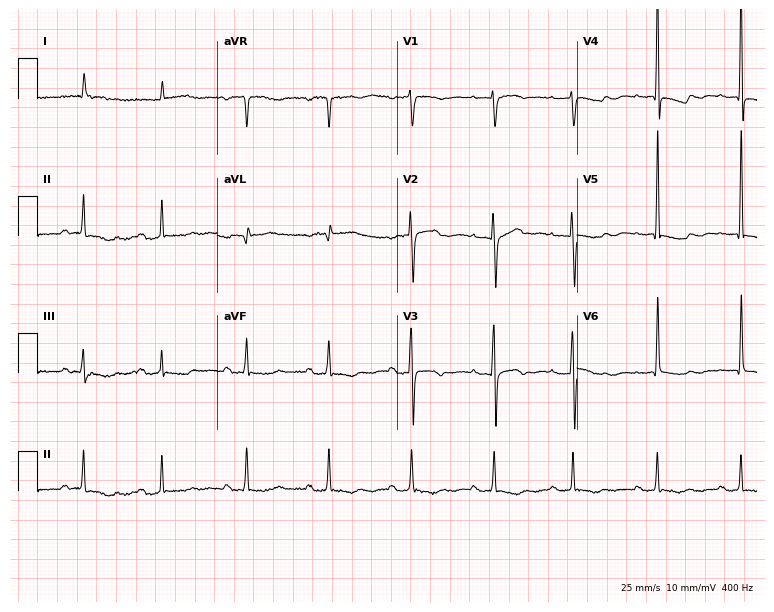
ECG — a woman, 77 years old. Labelled as a normal ECG.